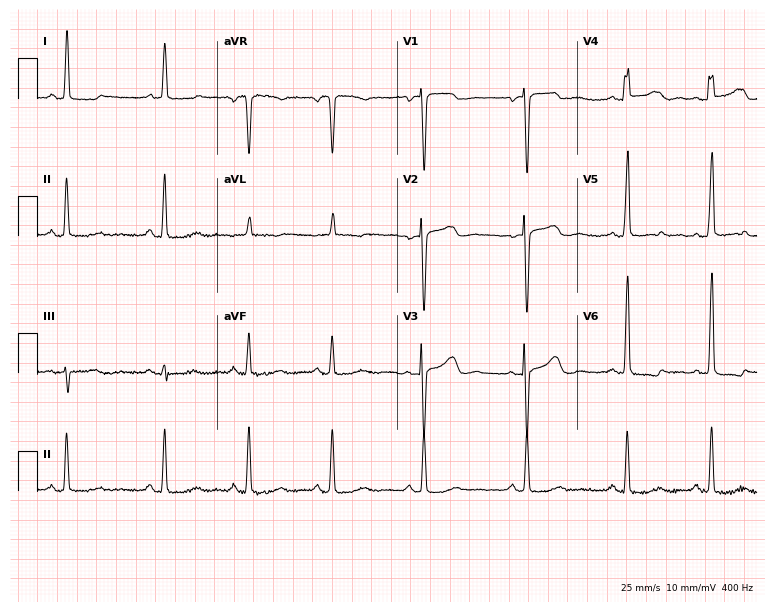
12-lead ECG from a 60-year-old female patient. Screened for six findings — first-degree AV block, right bundle branch block, left bundle branch block, sinus bradycardia, atrial fibrillation, sinus tachycardia — none is recorded. Other findings, if any, are not listed.